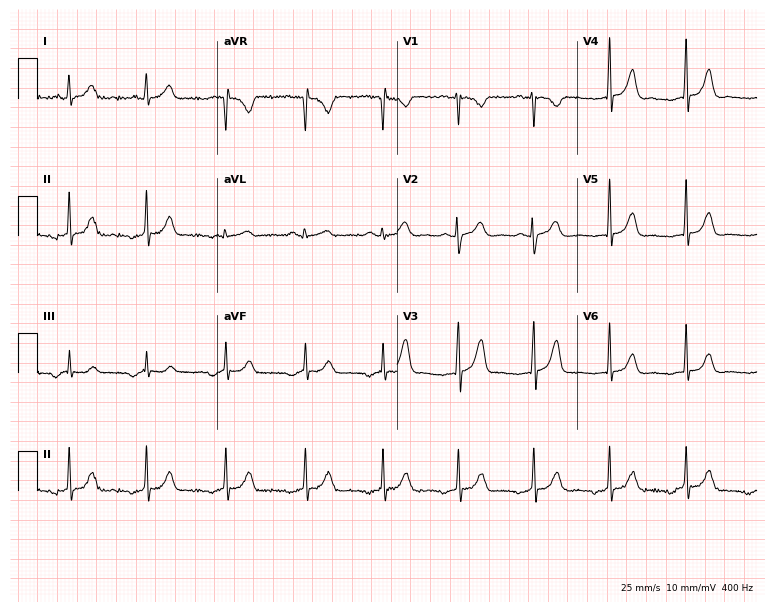
ECG — a 29-year-old female patient. Screened for six findings — first-degree AV block, right bundle branch block, left bundle branch block, sinus bradycardia, atrial fibrillation, sinus tachycardia — none is recorded. Only these six findings were labelled.